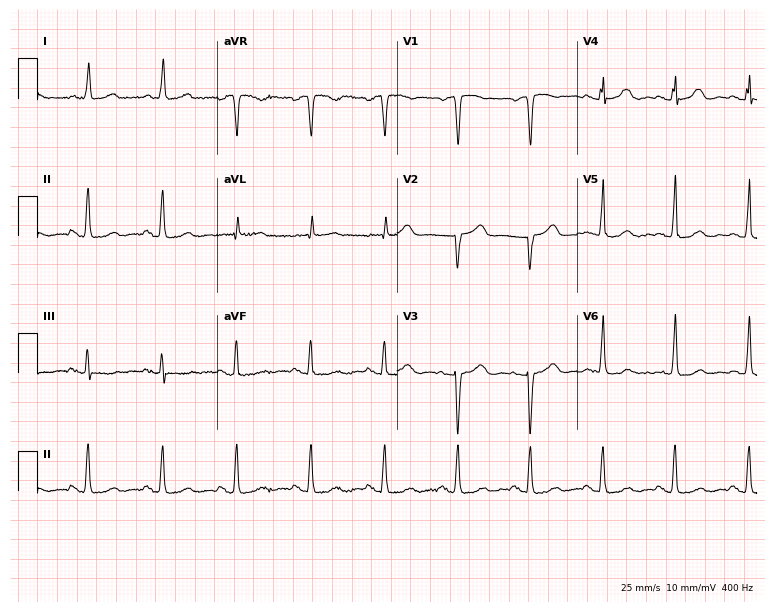
12-lead ECG (7.3-second recording at 400 Hz) from a 68-year-old woman. Labelled as a normal ECG.